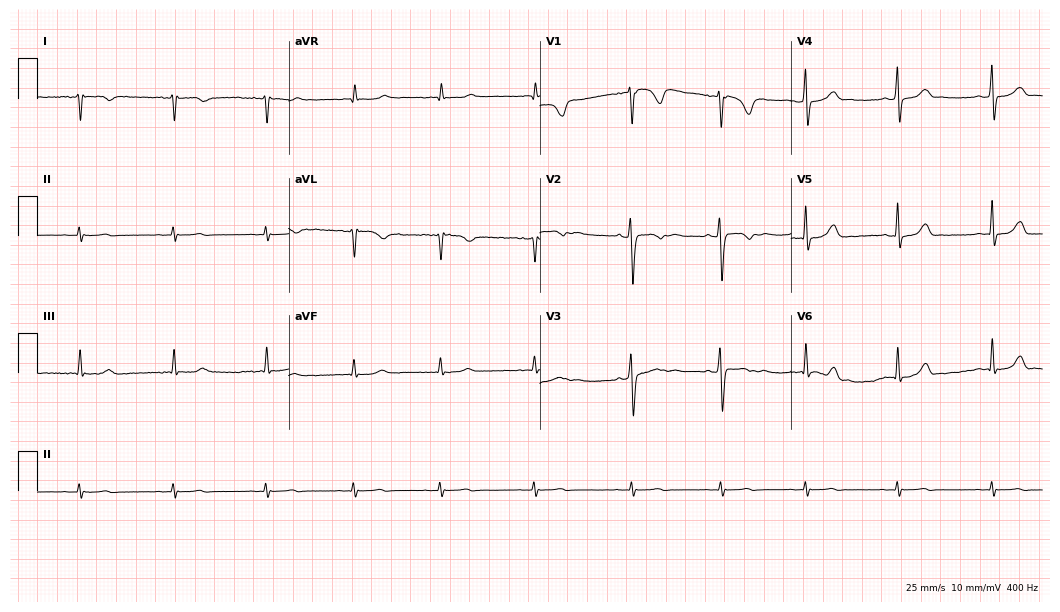
Standard 12-lead ECG recorded from a woman, 18 years old (10.2-second recording at 400 Hz). None of these six findings is recorded: first-degree AV block, right bundle branch block (RBBB), left bundle branch block (LBBB), sinus bradycardia, atrial fibrillation (AF), sinus tachycardia.